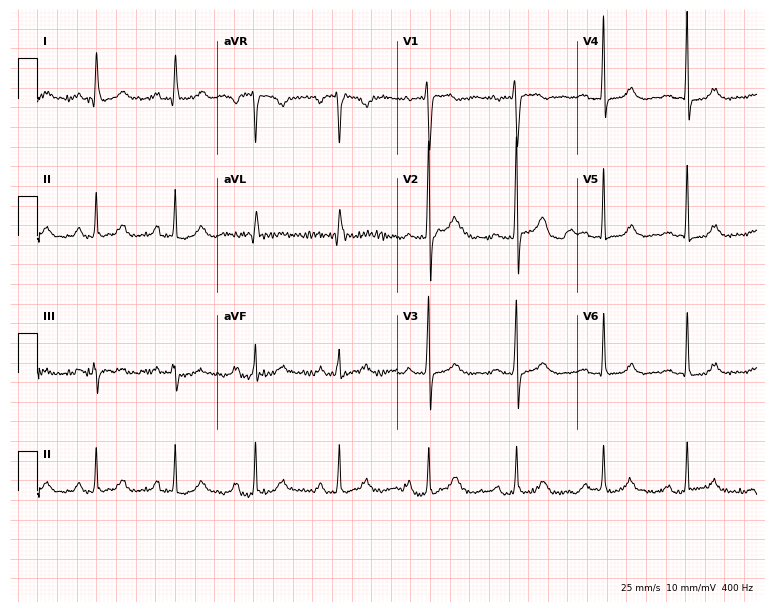
ECG — a 46-year-old woman. Screened for six findings — first-degree AV block, right bundle branch block (RBBB), left bundle branch block (LBBB), sinus bradycardia, atrial fibrillation (AF), sinus tachycardia — none is recorded.